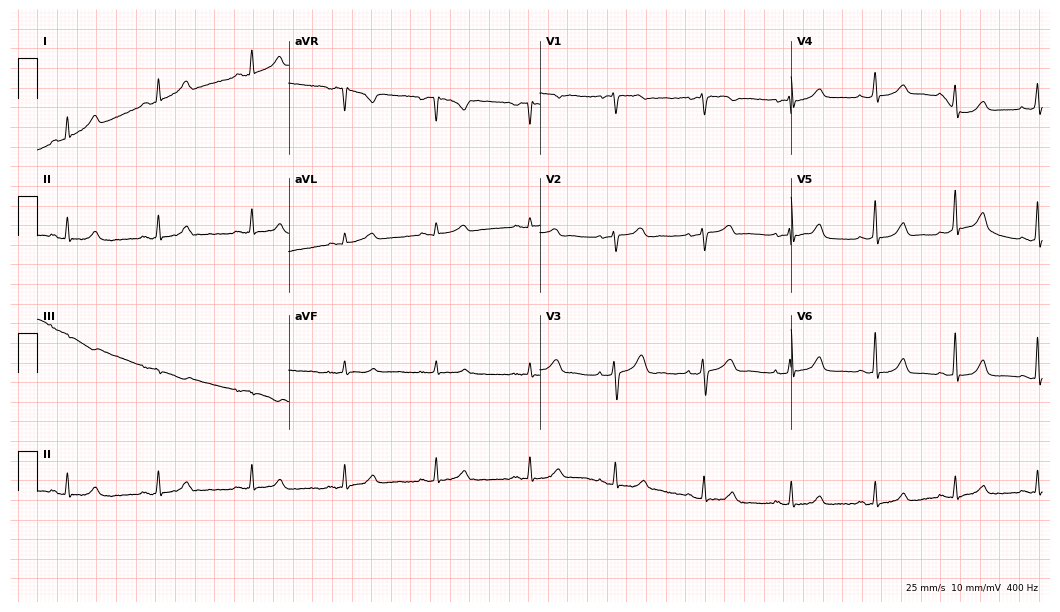
Standard 12-lead ECG recorded from a female patient, 46 years old (10.2-second recording at 400 Hz). None of these six findings is recorded: first-degree AV block, right bundle branch block (RBBB), left bundle branch block (LBBB), sinus bradycardia, atrial fibrillation (AF), sinus tachycardia.